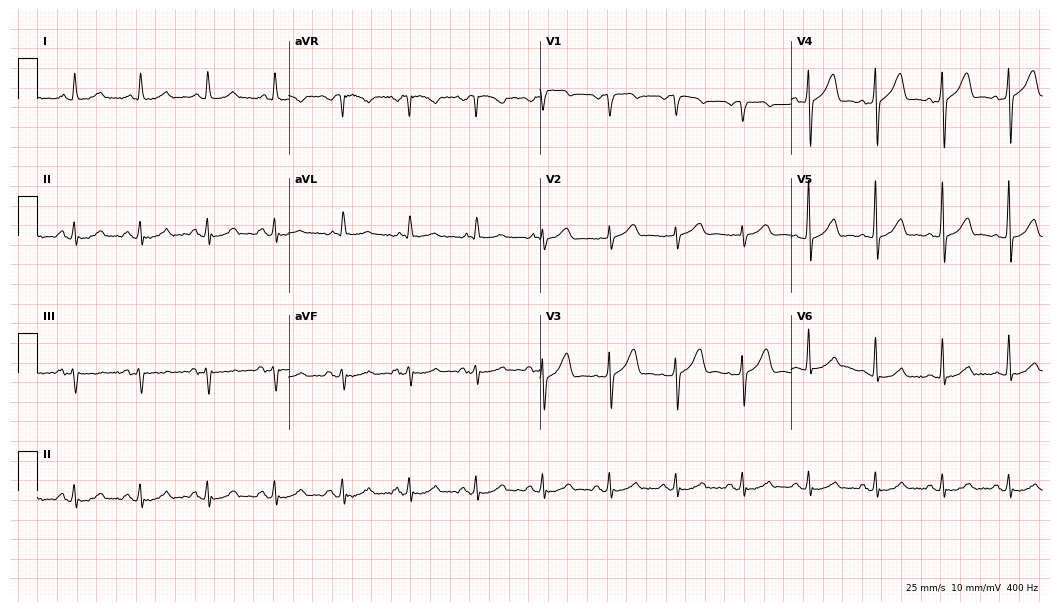
Standard 12-lead ECG recorded from a 61-year-old male patient (10.2-second recording at 400 Hz). None of these six findings is recorded: first-degree AV block, right bundle branch block, left bundle branch block, sinus bradycardia, atrial fibrillation, sinus tachycardia.